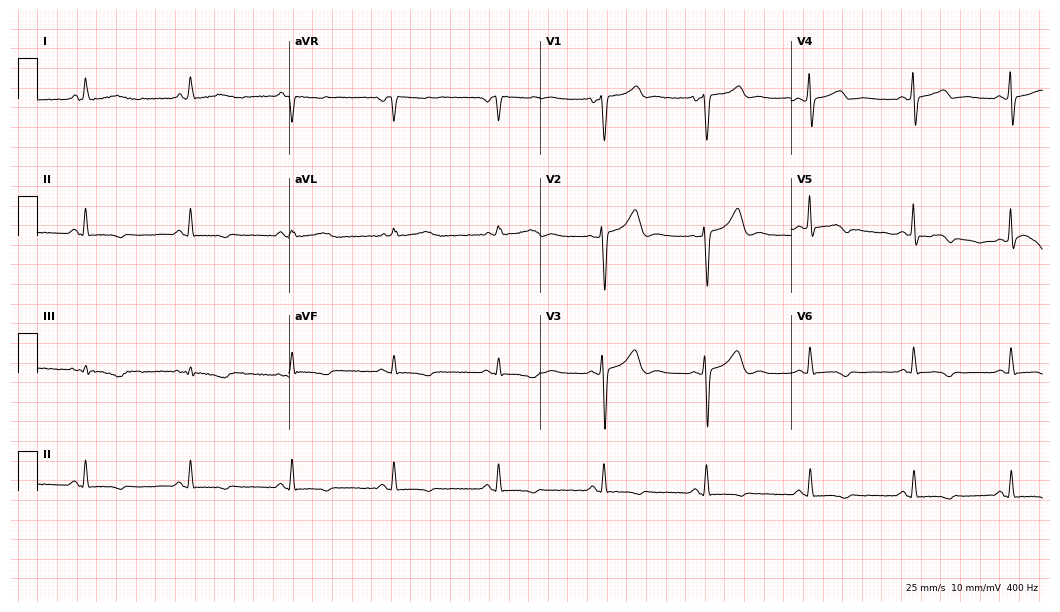
Resting 12-lead electrocardiogram (10.2-second recording at 400 Hz). Patient: a 45-year-old woman. None of these six findings is recorded: first-degree AV block, right bundle branch block (RBBB), left bundle branch block (LBBB), sinus bradycardia, atrial fibrillation (AF), sinus tachycardia. Other findings, if any, are not listed.